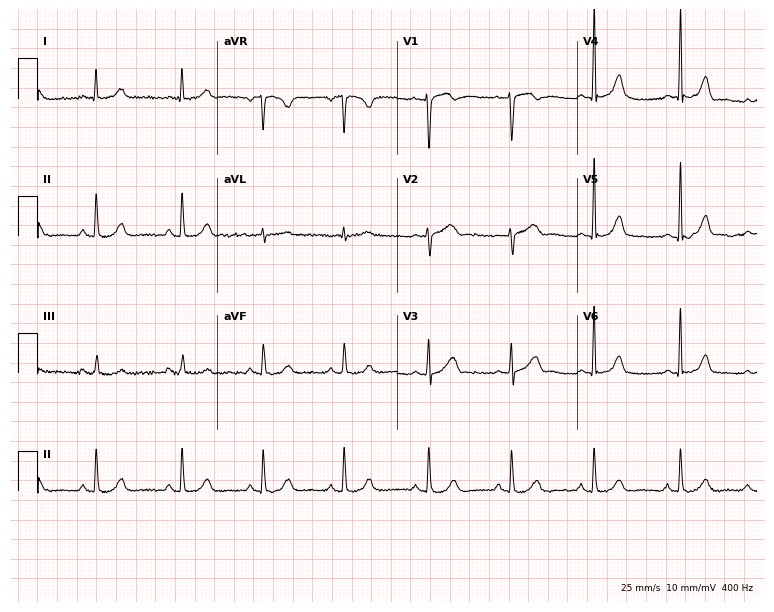
Electrocardiogram, a female patient, 25 years old. Of the six screened findings (first-degree AV block, right bundle branch block (RBBB), left bundle branch block (LBBB), sinus bradycardia, atrial fibrillation (AF), sinus tachycardia), none is recorded. Only these six findings were labelled.